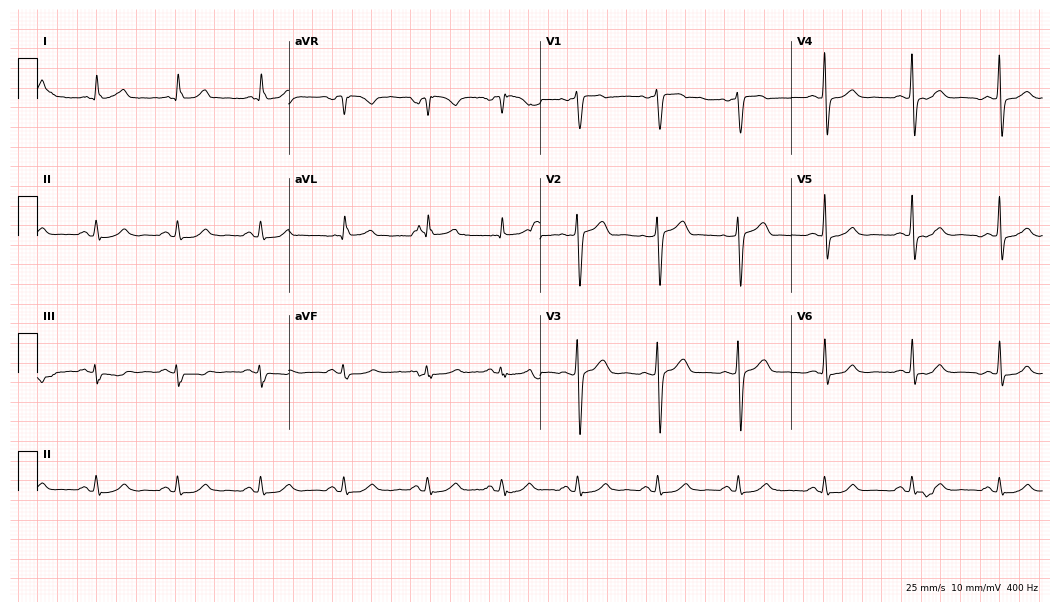
12-lead ECG (10.2-second recording at 400 Hz) from a man, 64 years old. Labelled as a normal ECG.